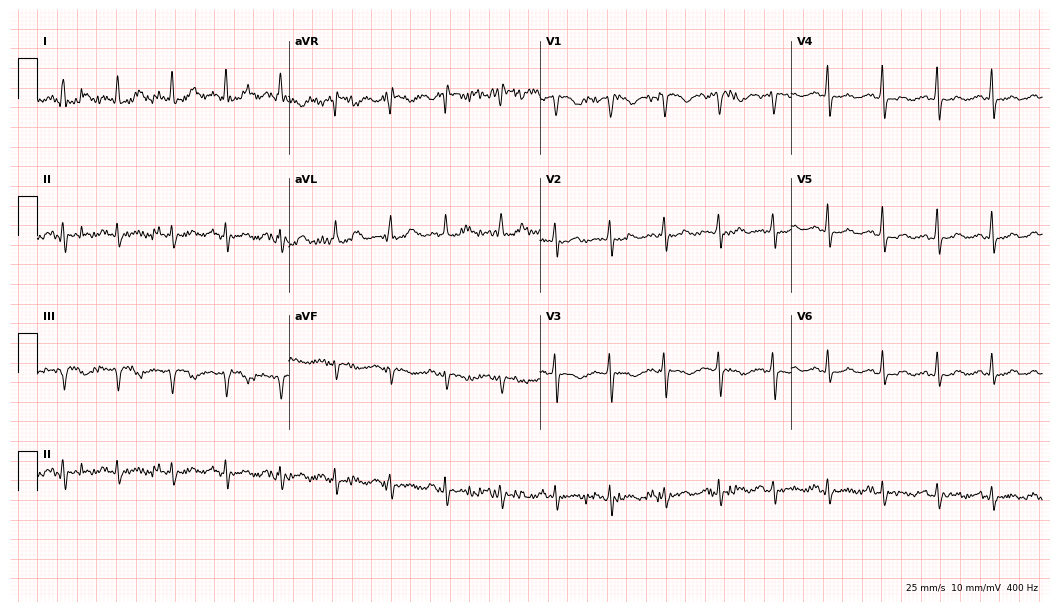
ECG — a female, 64 years old. Screened for six findings — first-degree AV block, right bundle branch block (RBBB), left bundle branch block (LBBB), sinus bradycardia, atrial fibrillation (AF), sinus tachycardia — none is recorded.